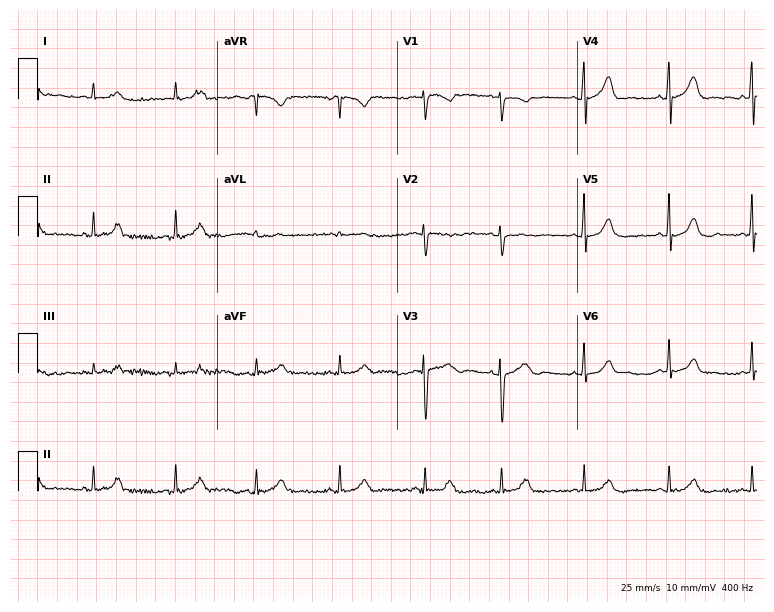
12-lead ECG (7.3-second recording at 400 Hz) from a 32-year-old female. Labelled as a normal ECG.